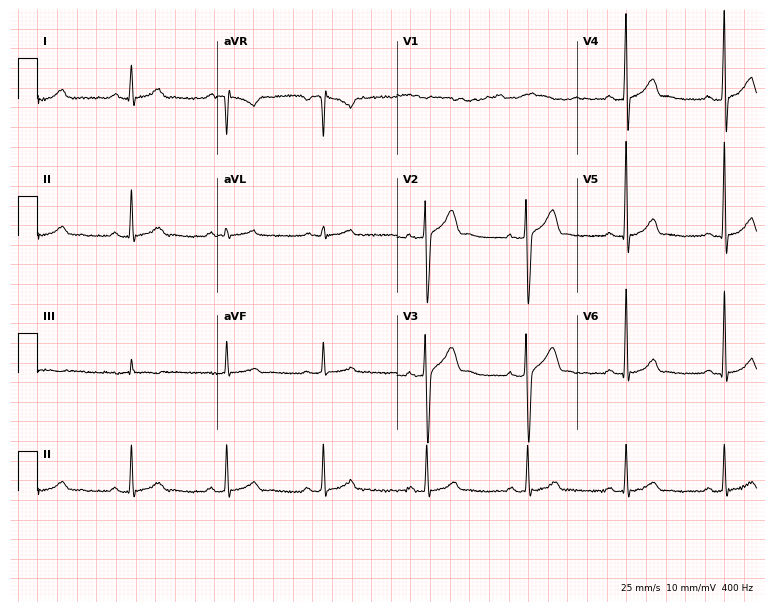
Electrocardiogram, a man, 35 years old. Overall reading on record: normal ECG.